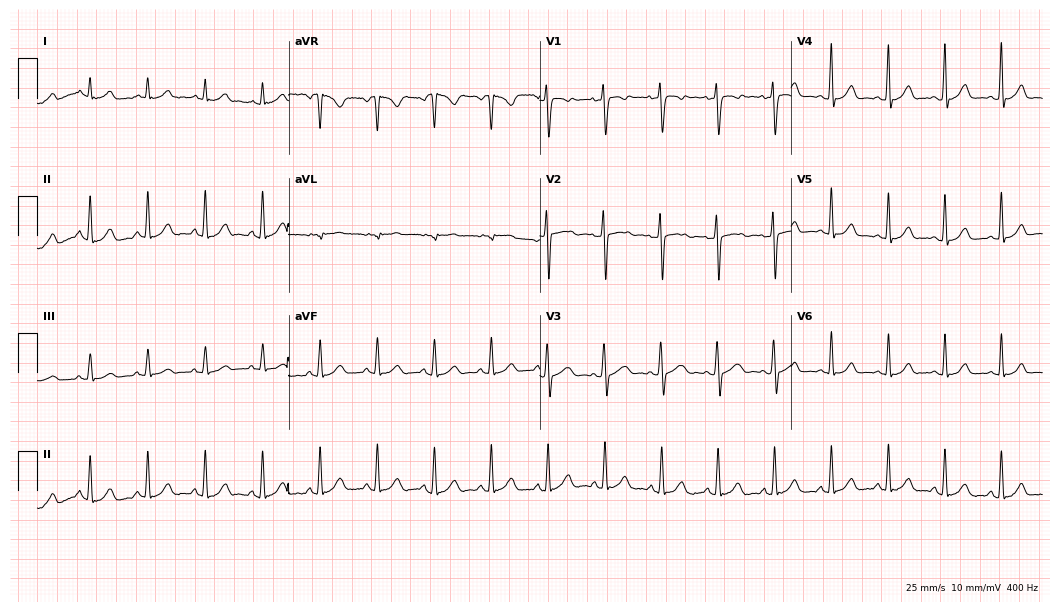
ECG (10.2-second recording at 400 Hz) — a female patient, 19 years old. Labelled as a normal ECG.